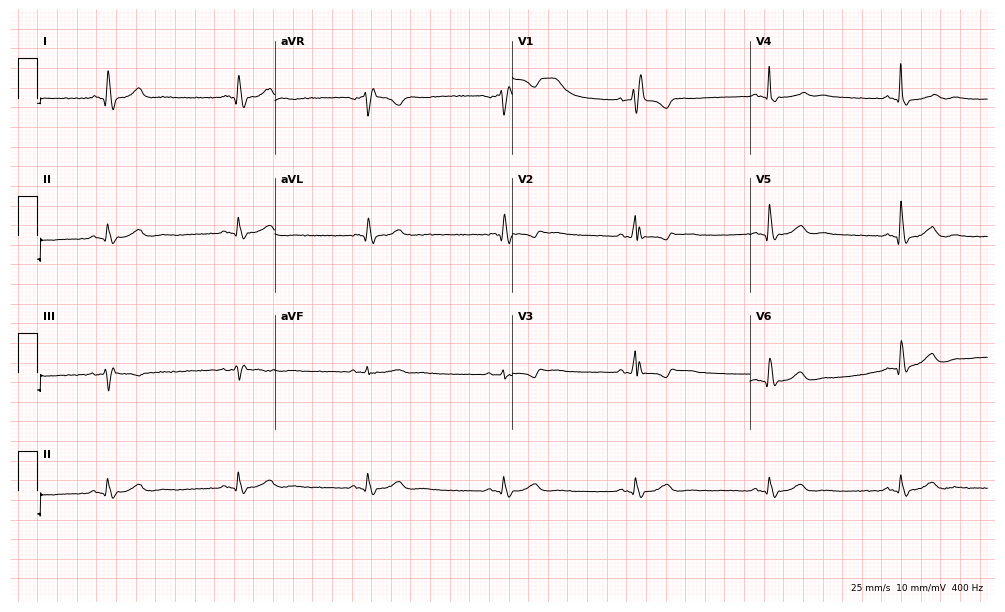
Standard 12-lead ECG recorded from a 73-year-old female (9.7-second recording at 400 Hz). The tracing shows right bundle branch block (RBBB), sinus bradycardia (a sinus rate of 50 beats per minute or less).